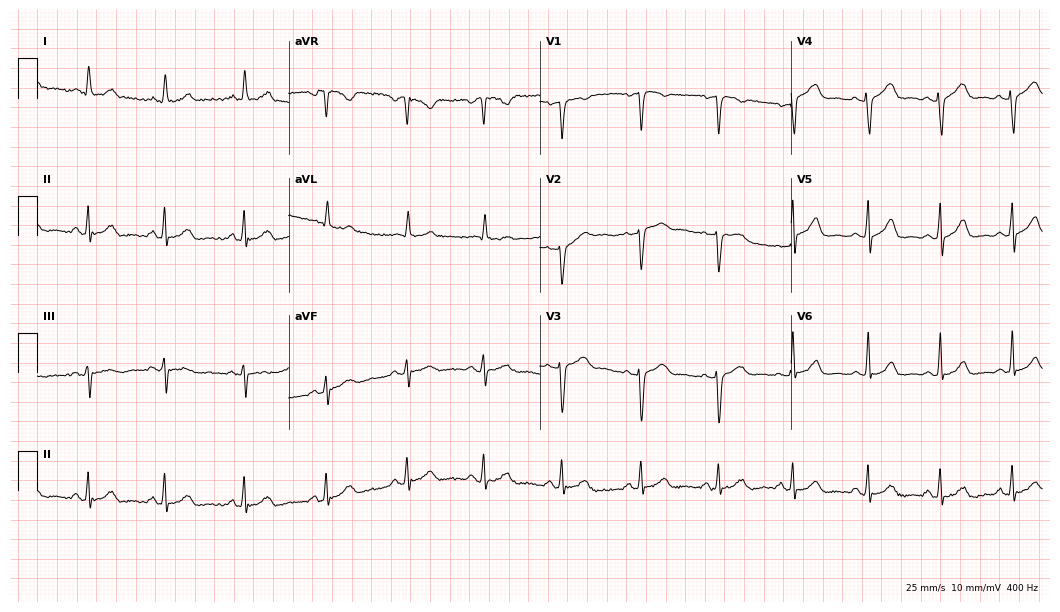
Electrocardiogram, a female patient, 30 years old. Overall reading on record: normal ECG.